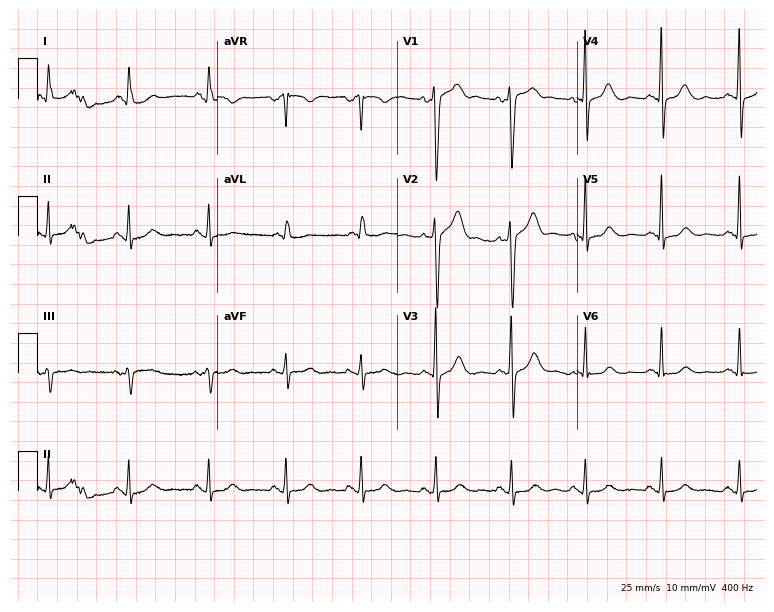
ECG (7.3-second recording at 400 Hz) — a 72-year-old man. Labelled as a normal ECG.